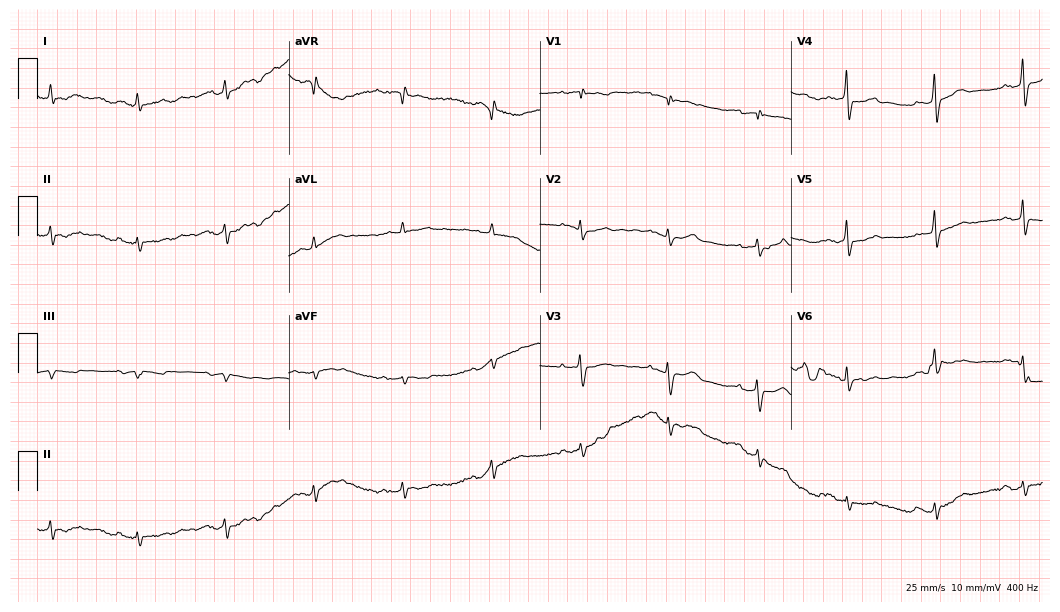
Electrocardiogram (10.2-second recording at 400 Hz), a male, 77 years old. Of the six screened findings (first-degree AV block, right bundle branch block, left bundle branch block, sinus bradycardia, atrial fibrillation, sinus tachycardia), none is recorded. Other findings, if any, are not listed.